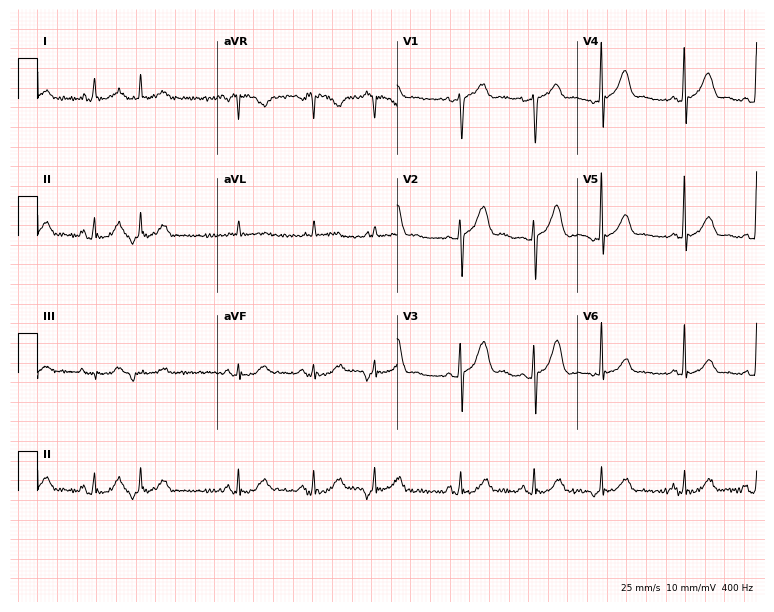
Standard 12-lead ECG recorded from a man, 70 years old. None of these six findings is recorded: first-degree AV block, right bundle branch block (RBBB), left bundle branch block (LBBB), sinus bradycardia, atrial fibrillation (AF), sinus tachycardia.